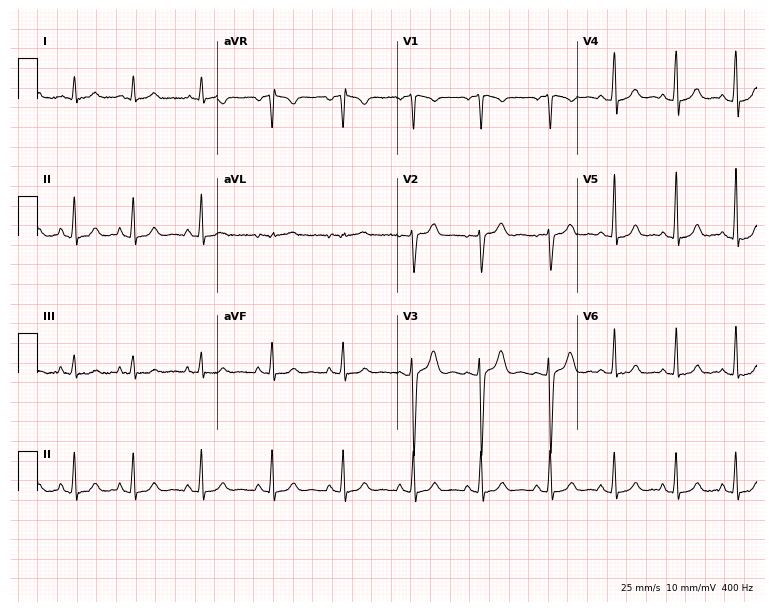
12-lead ECG from a 21-year-old female. Labelled as a normal ECG.